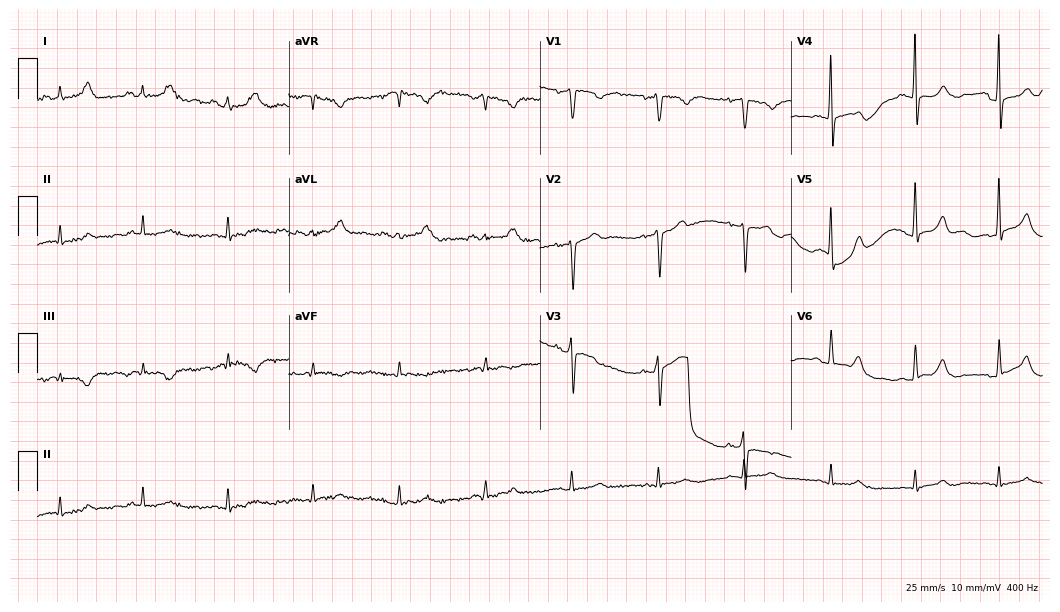
ECG — a 67-year-old male patient. Screened for six findings — first-degree AV block, right bundle branch block, left bundle branch block, sinus bradycardia, atrial fibrillation, sinus tachycardia — none is recorded. Other findings, if any, are not listed.